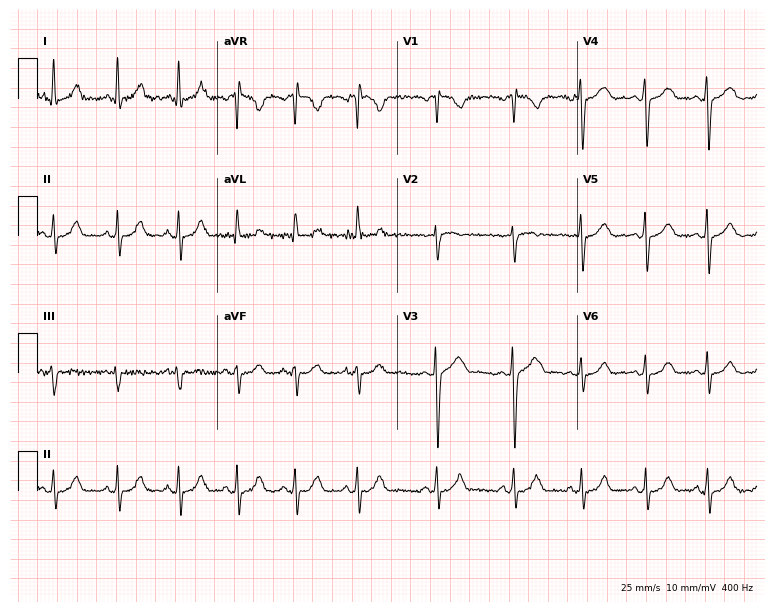
ECG — a 19-year-old woman. Screened for six findings — first-degree AV block, right bundle branch block, left bundle branch block, sinus bradycardia, atrial fibrillation, sinus tachycardia — none is recorded.